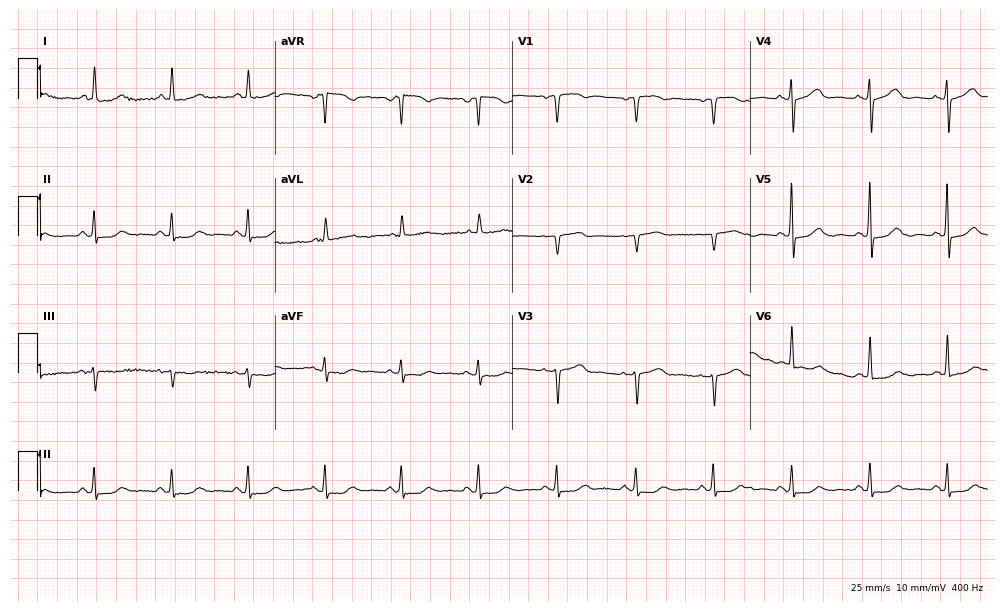
Standard 12-lead ECG recorded from a 69-year-old woman. Read as a normal ECG.